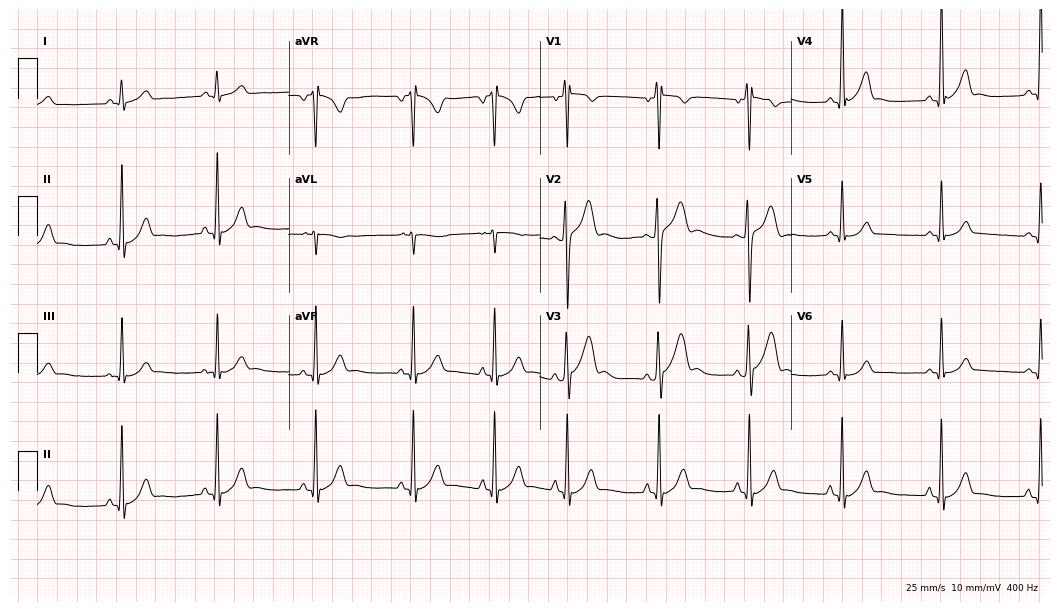
Electrocardiogram (10.2-second recording at 400 Hz), a male patient, 20 years old. Overall reading on record: normal ECG.